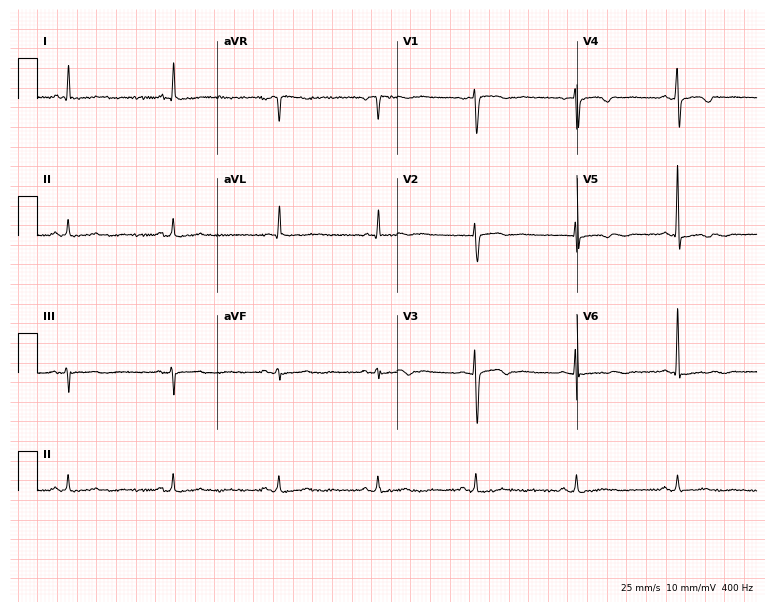
12-lead ECG from a female, 63 years old. Screened for six findings — first-degree AV block, right bundle branch block (RBBB), left bundle branch block (LBBB), sinus bradycardia, atrial fibrillation (AF), sinus tachycardia — none is recorded. Findings outside these six are not listed.